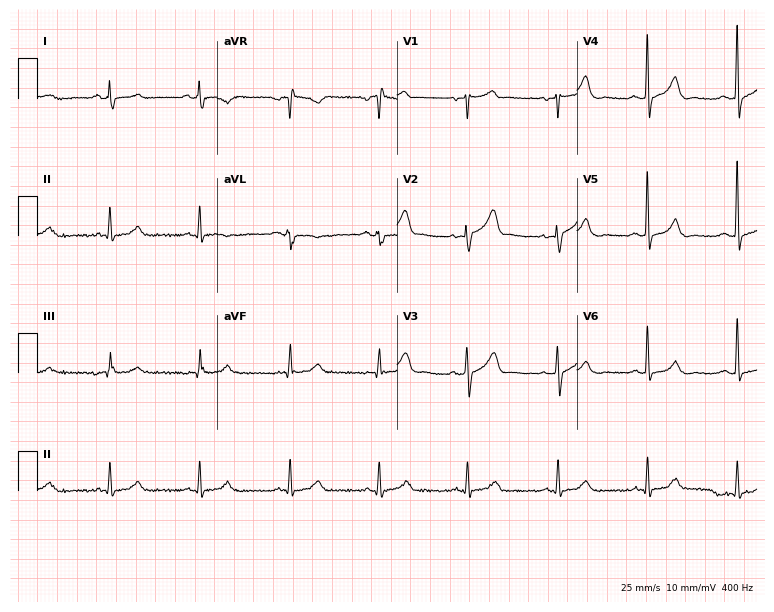
Resting 12-lead electrocardiogram (7.3-second recording at 400 Hz). Patient: a 62-year-old male. None of these six findings is recorded: first-degree AV block, right bundle branch block (RBBB), left bundle branch block (LBBB), sinus bradycardia, atrial fibrillation (AF), sinus tachycardia.